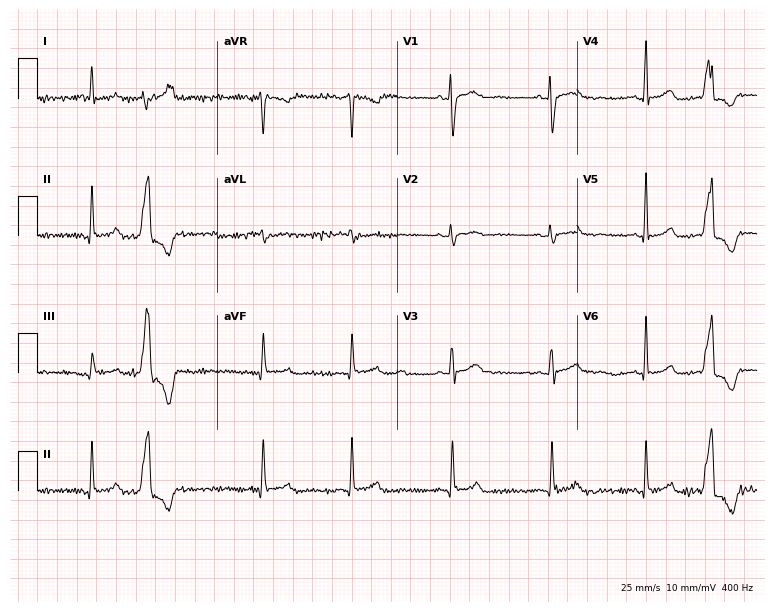
ECG — a woman, 49 years old. Screened for six findings — first-degree AV block, right bundle branch block (RBBB), left bundle branch block (LBBB), sinus bradycardia, atrial fibrillation (AF), sinus tachycardia — none is recorded. Other findings, if any, are not listed.